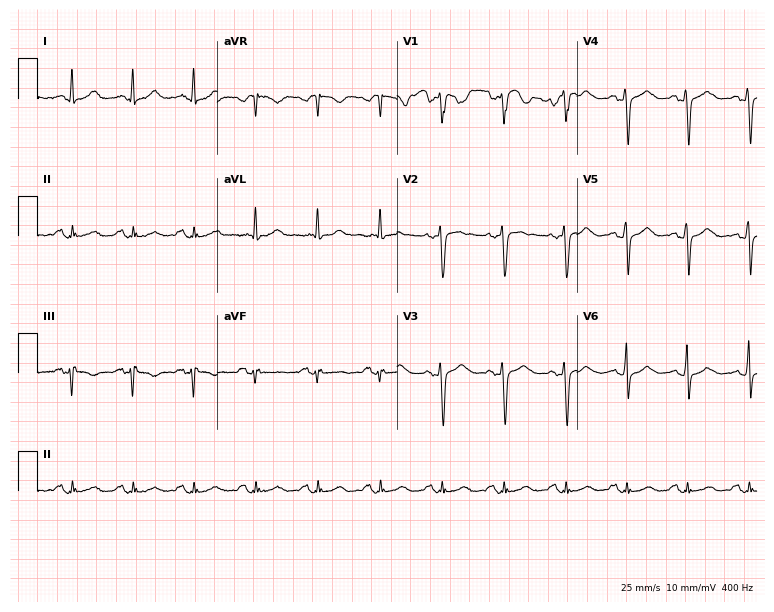
12-lead ECG from a 64-year-old woman (7.3-second recording at 400 Hz). Recorded interpretation: within normal limits.